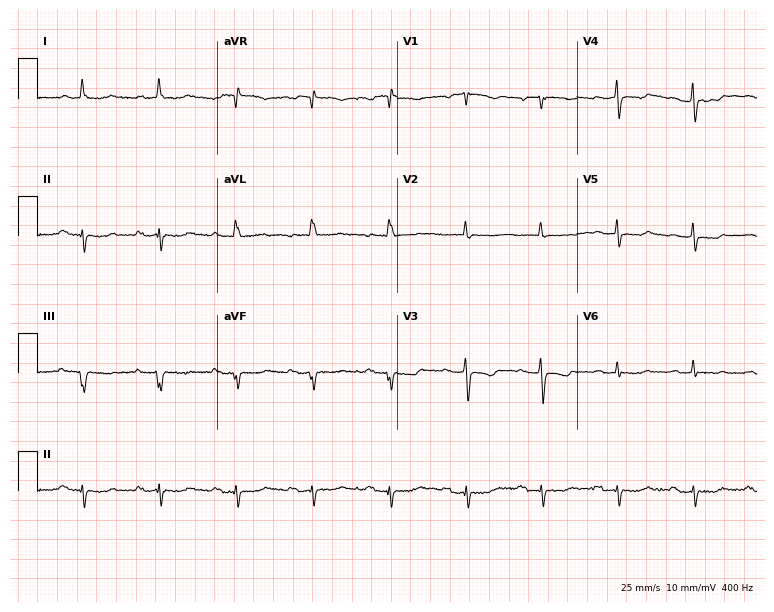
Standard 12-lead ECG recorded from a female, 69 years old. The tracing shows first-degree AV block.